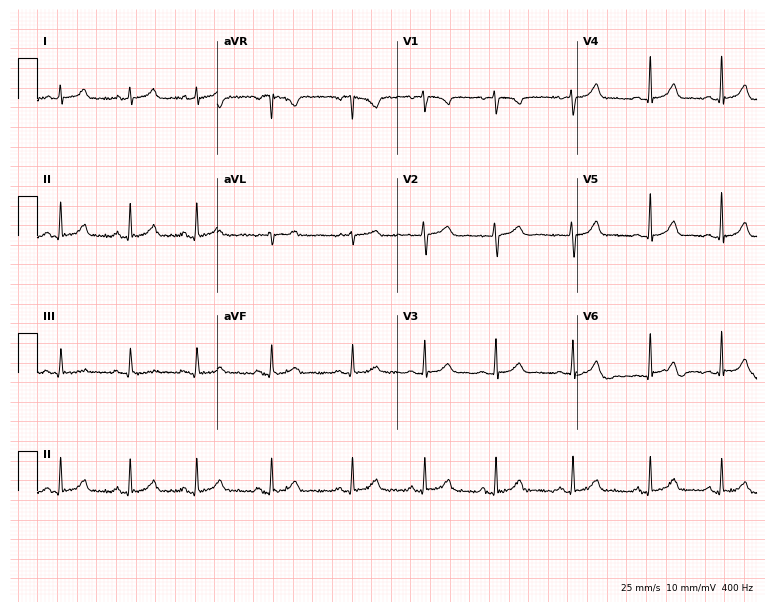
Electrocardiogram, a 21-year-old female patient. Overall reading on record: normal ECG.